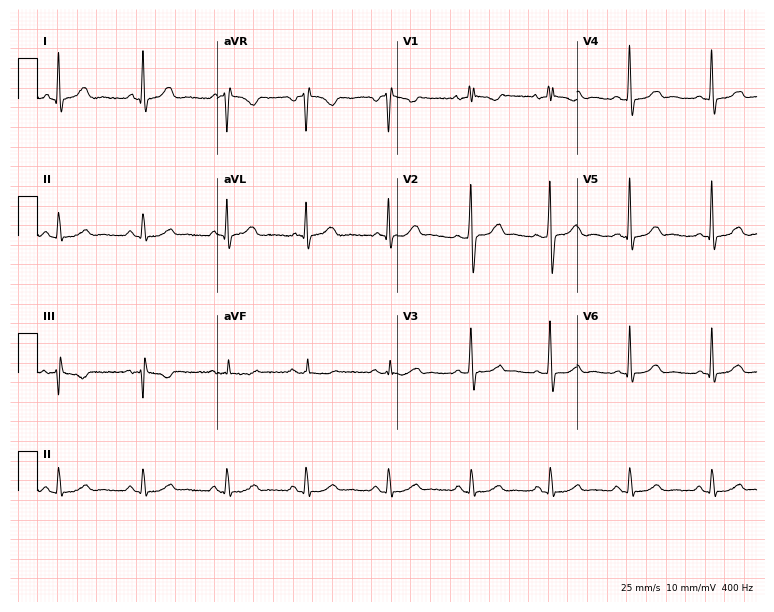
ECG (7.3-second recording at 400 Hz) — a 63-year-old woman. Labelled as a normal ECG.